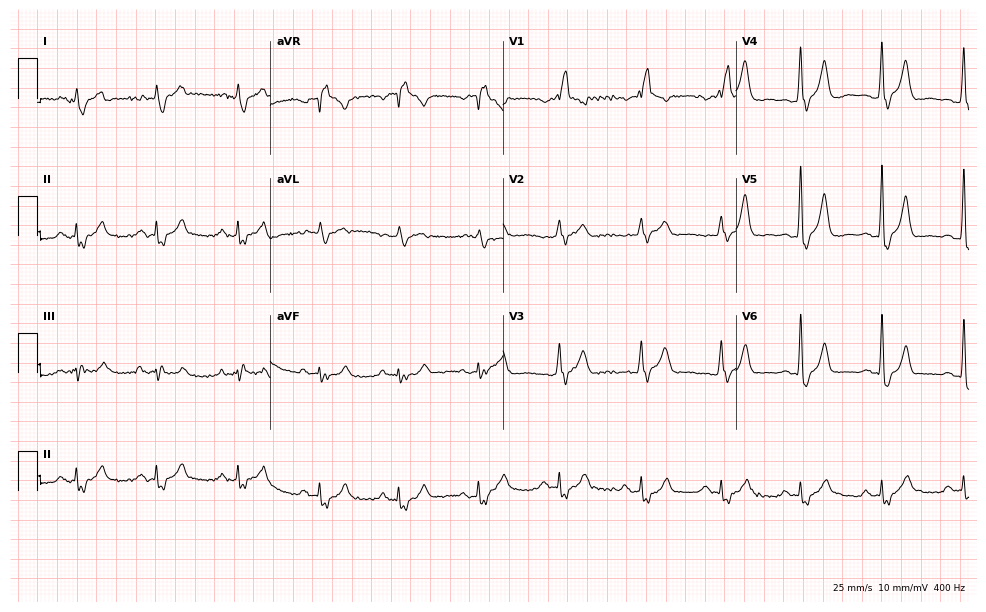
12-lead ECG from a male, 67 years old. No first-degree AV block, right bundle branch block, left bundle branch block, sinus bradycardia, atrial fibrillation or sinus tachycardia recorded for this tracing. Other findings, if any, are not listed.